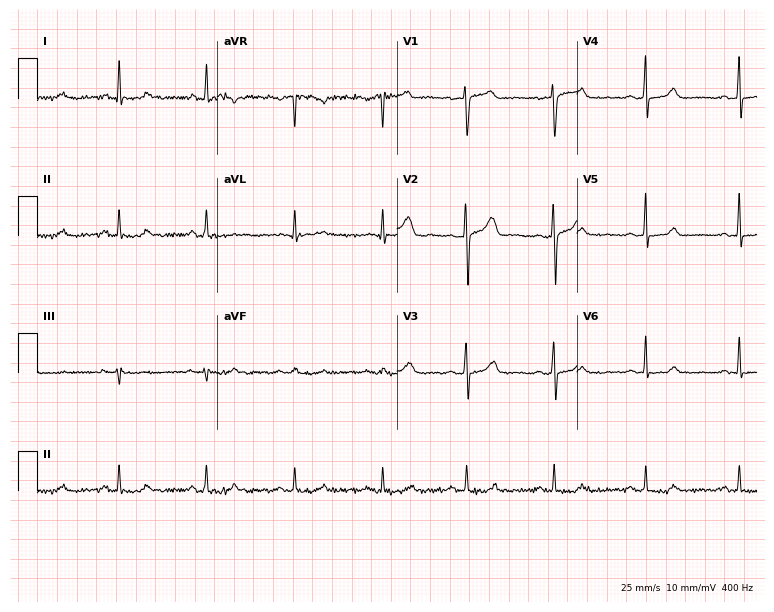
Electrocardiogram, a woman, 48 years old. Overall reading on record: normal ECG.